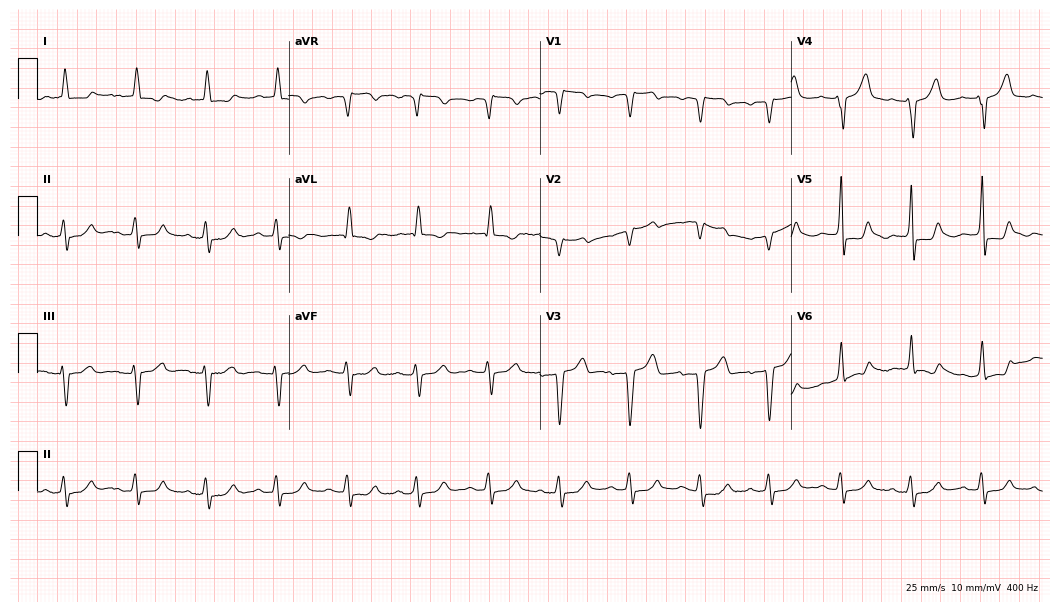
Standard 12-lead ECG recorded from a female patient, 70 years old (10.2-second recording at 400 Hz). None of these six findings is recorded: first-degree AV block, right bundle branch block, left bundle branch block, sinus bradycardia, atrial fibrillation, sinus tachycardia. Only these six findings were labelled.